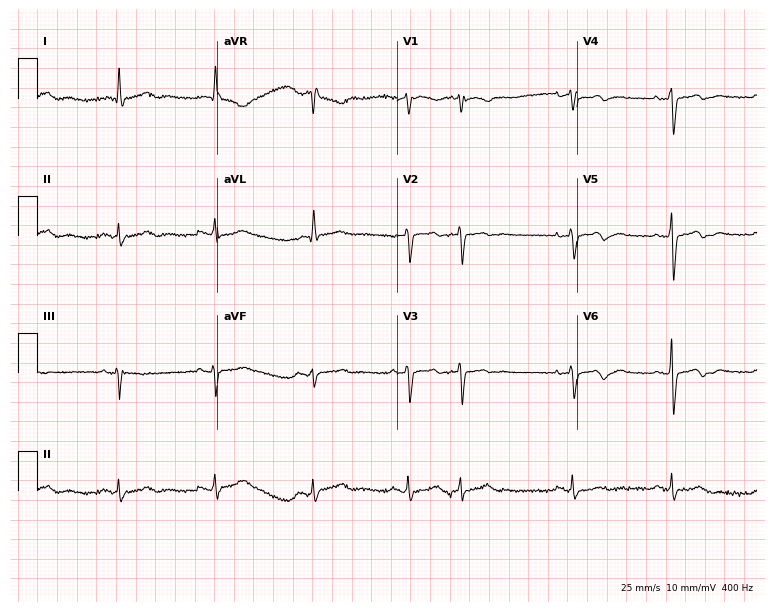
12-lead ECG from a woman, 73 years old. No first-degree AV block, right bundle branch block, left bundle branch block, sinus bradycardia, atrial fibrillation or sinus tachycardia recorded for this tracing. Other findings, if any, are not listed.